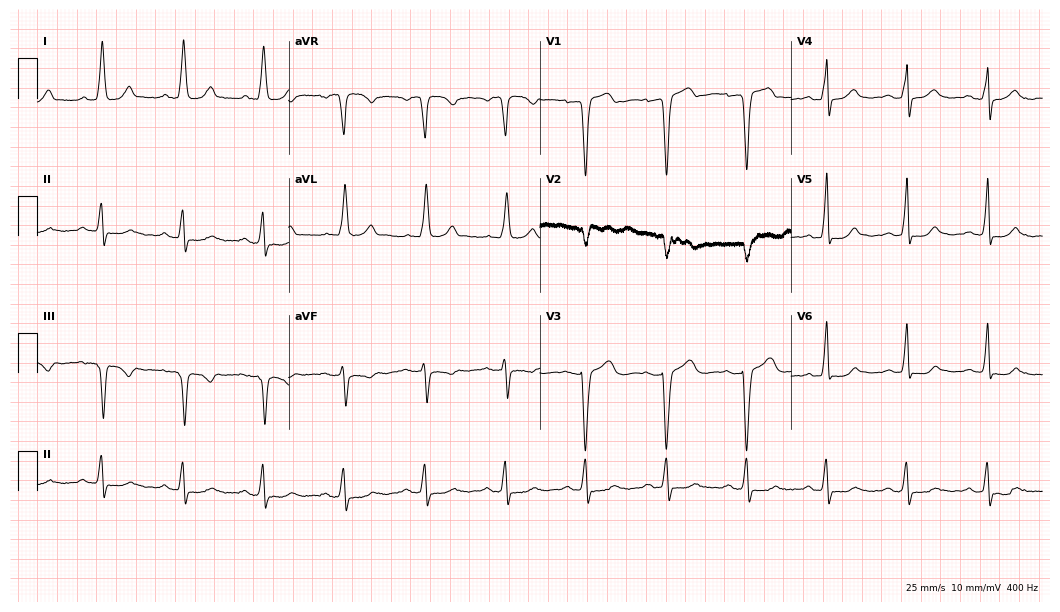
ECG (10.2-second recording at 400 Hz) — a female, 80 years old. Findings include left bundle branch block.